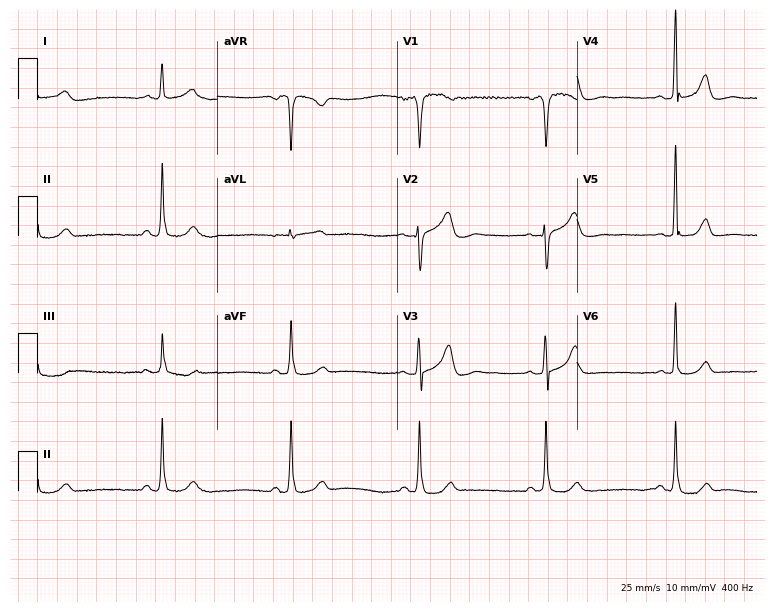
ECG — a man, 54 years old. Findings include sinus bradycardia (a sinus rate of 50 beats per minute or less).